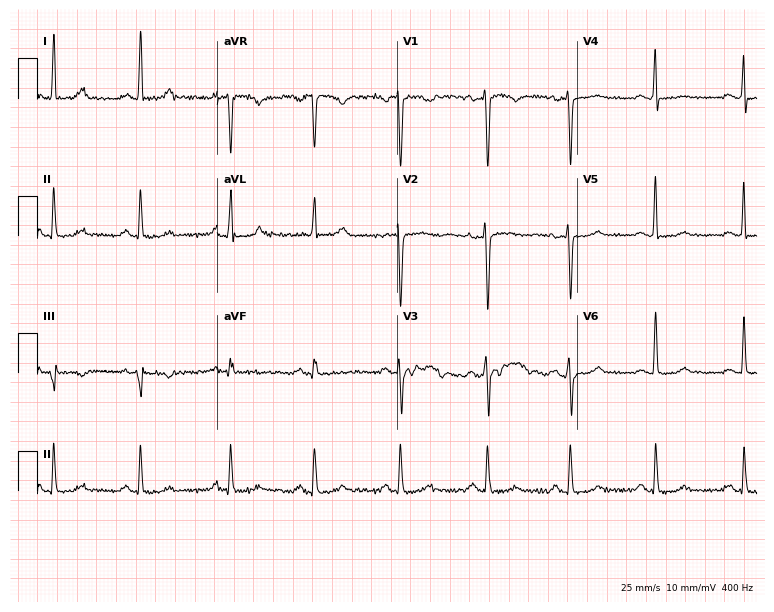
Electrocardiogram (7.3-second recording at 400 Hz), a 34-year-old female patient. Overall reading on record: normal ECG.